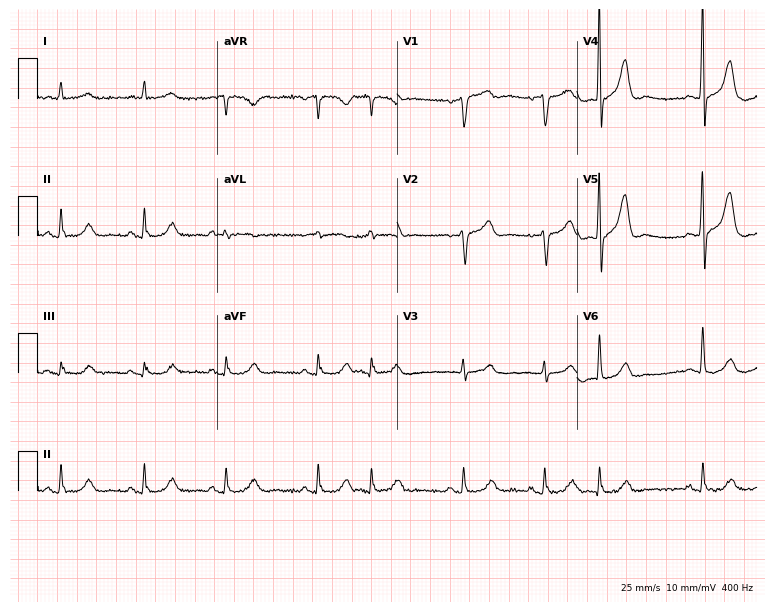
12-lead ECG from a 77-year-old male patient. Screened for six findings — first-degree AV block, right bundle branch block, left bundle branch block, sinus bradycardia, atrial fibrillation, sinus tachycardia — none is recorded.